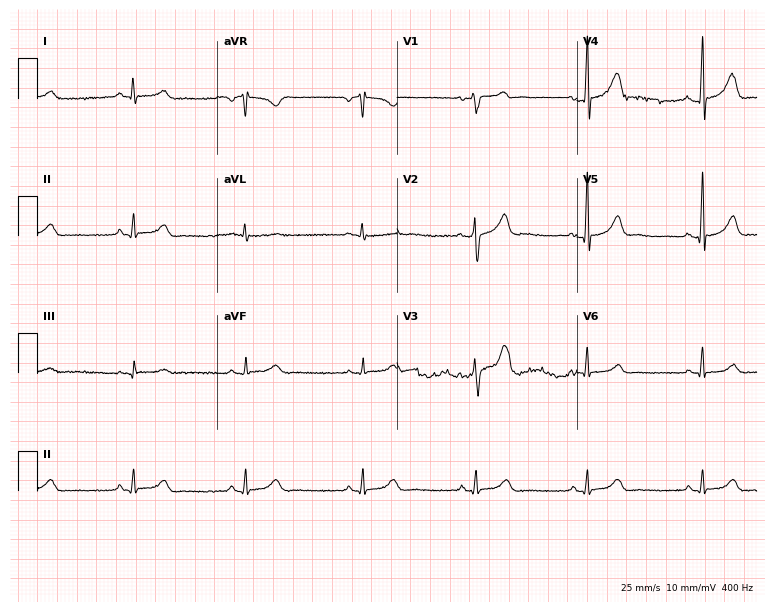
ECG (7.3-second recording at 400 Hz) — a male, 53 years old. Labelled as a normal ECG.